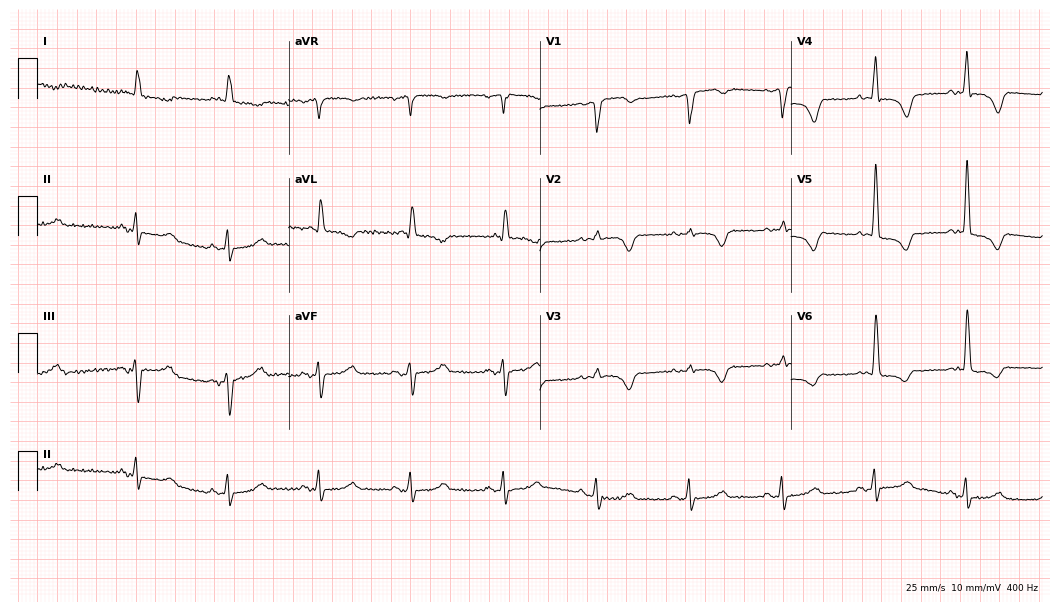
Resting 12-lead electrocardiogram (10.2-second recording at 400 Hz). Patient: a man, 82 years old. None of these six findings is recorded: first-degree AV block, right bundle branch block (RBBB), left bundle branch block (LBBB), sinus bradycardia, atrial fibrillation (AF), sinus tachycardia. Other findings, if any, are not listed.